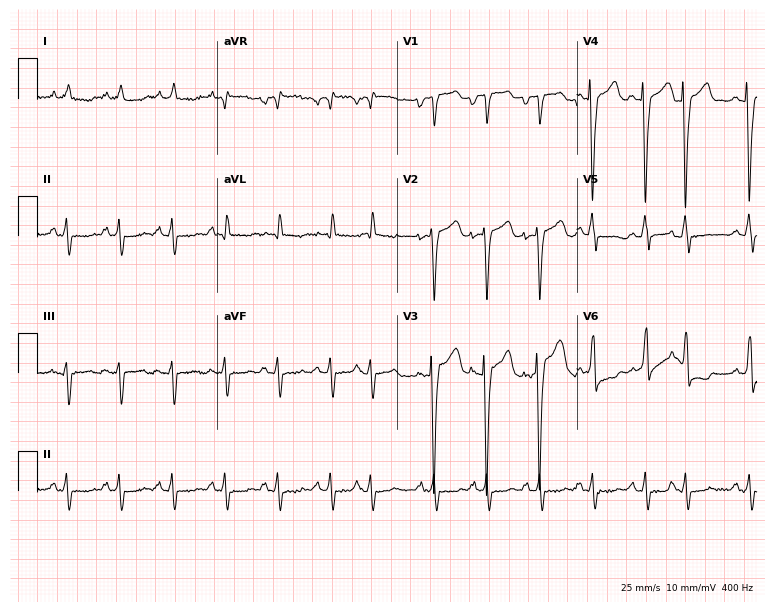
12-lead ECG from a 65-year-old man (7.3-second recording at 400 Hz). Shows sinus tachycardia (a sinus rate of 100 beats per minute or more).